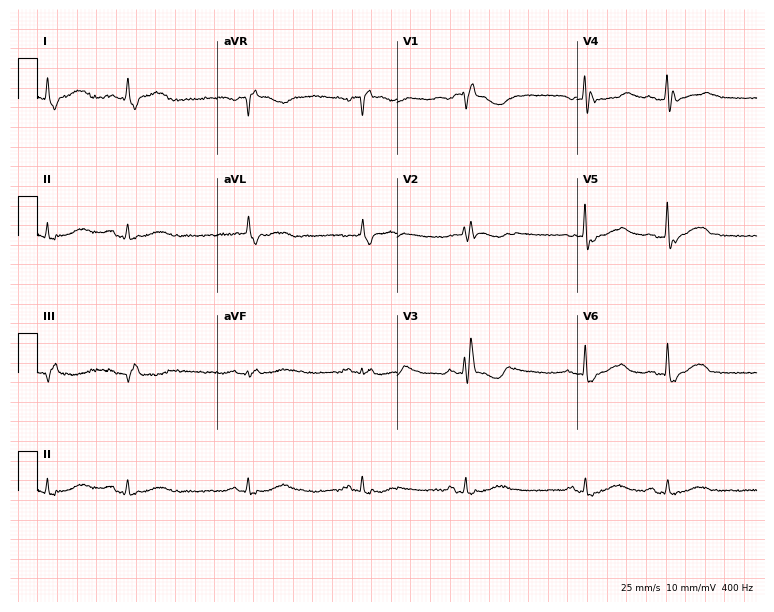
Standard 12-lead ECG recorded from a male, 82 years old (7.3-second recording at 400 Hz). None of these six findings is recorded: first-degree AV block, right bundle branch block, left bundle branch block, sinus bradycardia, atrial fibrillation, sinus tachycardia. Findings outside these six are not listed.